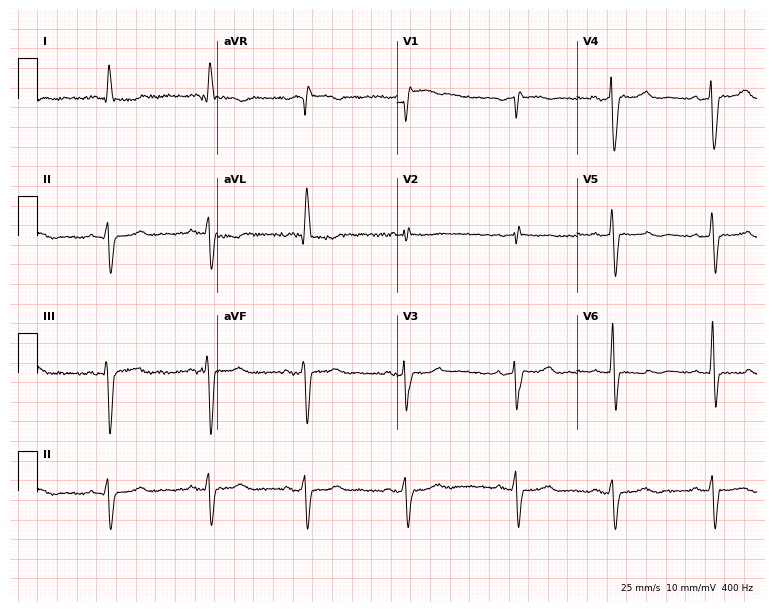
Electrocardiogram, a 76-year-old female. Interpretation includes right bundle branch block.